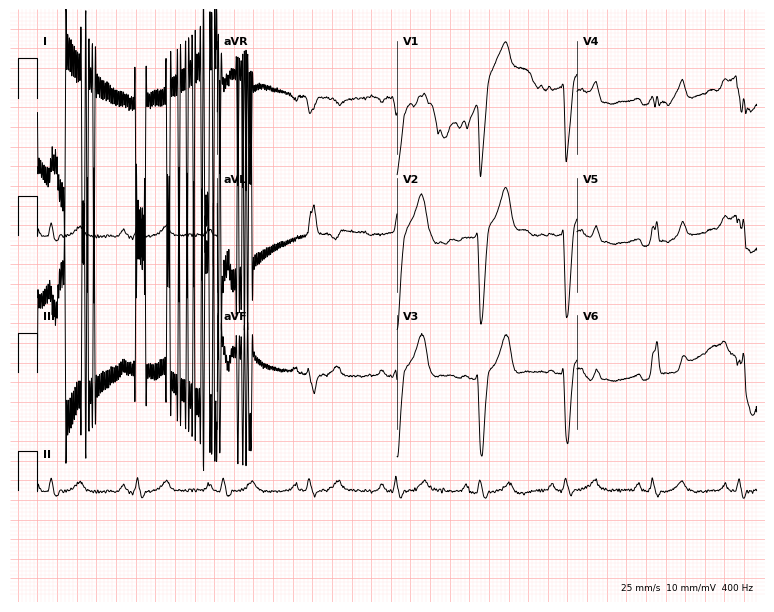
Electrocardiogram, a 70-year-old male patient. Interpretation includes left bundle branch block.